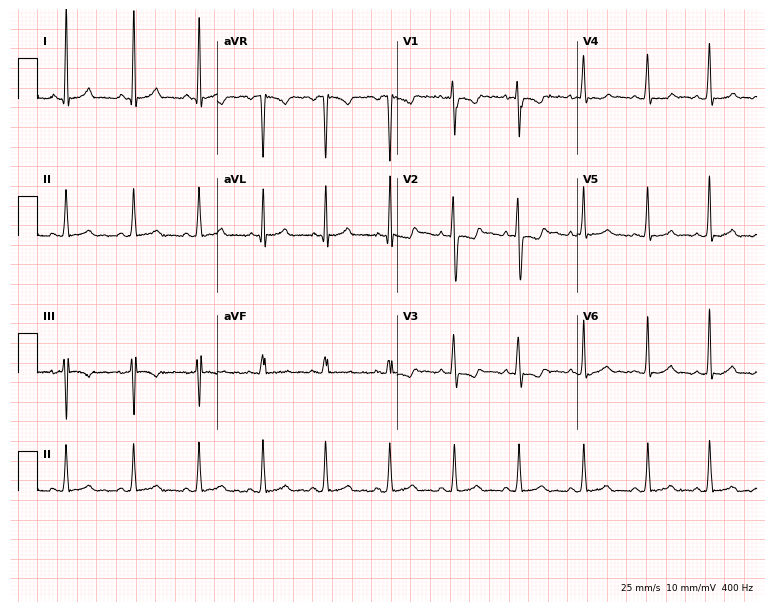
12-lead ECG from a woman, 19 years old. No first-degree AV block, right bundle branch block, left bundle branch block, sinus bradycardia, atrial fibrillation or sinus tachycardia recorded for this tracing. Only these six findings were labelled.